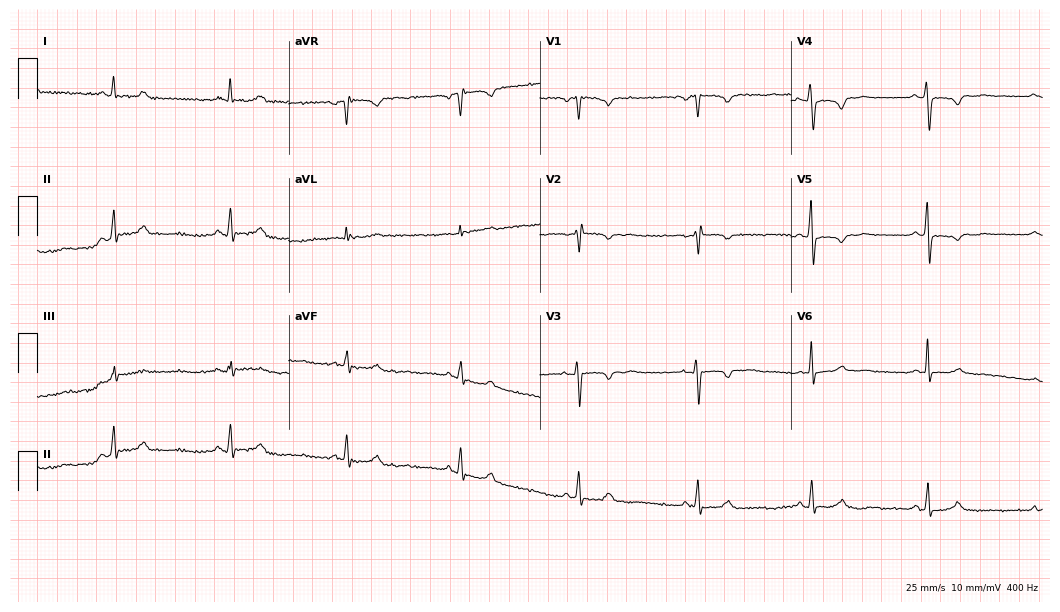
Electrocardiogram, a 50-year-old female. Of the six screened findings (first-degree AV block, right bundle branch block, left bundle branch block, sinus bradycardia, atrial fibrillation, sinus tachycardia), none is recorded. Other findings, if any, are not listed.